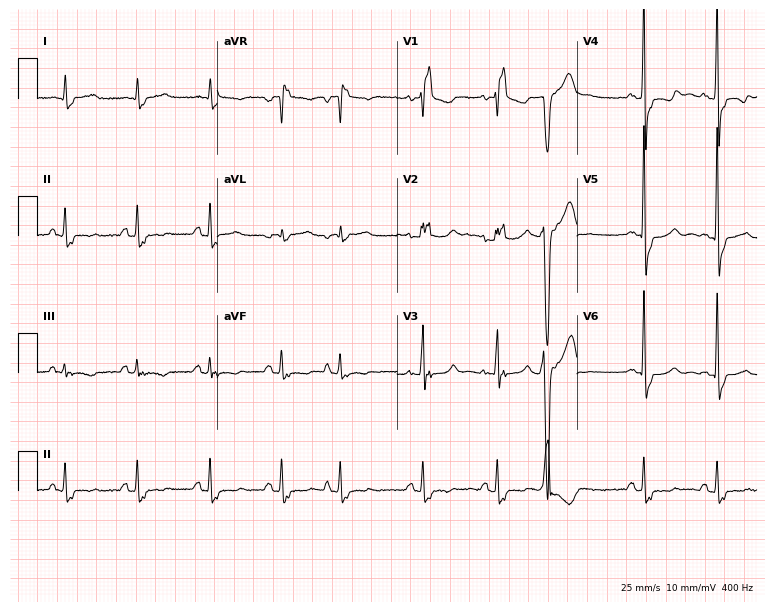
Electrocardiogram (7.3-second recording at 400 Hz), a 71-year-old male. Interpretation includes right bundle branch block (RBBB).